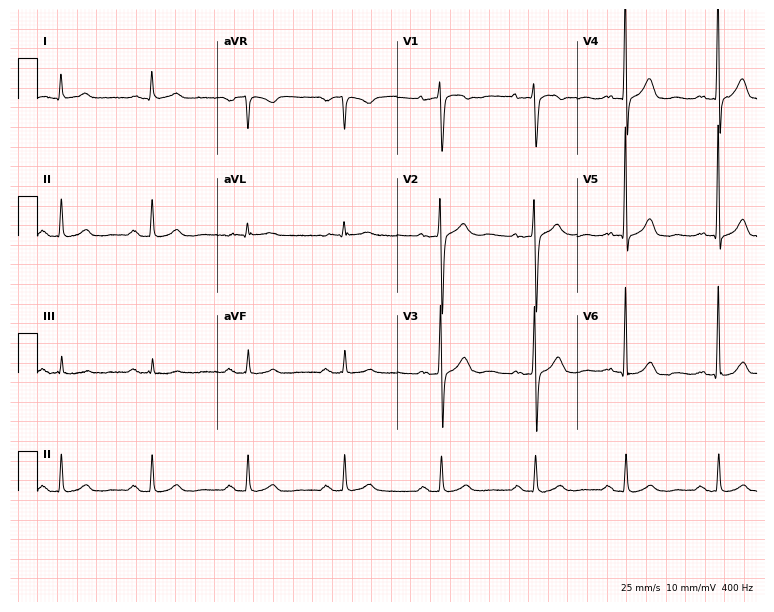
Standard 12-lead ECG recorded from a 59-year-old male patient (7.3-second recording at 400 Hz). None of these six findings is recorded: first-degree AV block, right bundle branch block, left bundle branch block, sinus bradycardia, atrial fibrillation, sinus tachycardia.